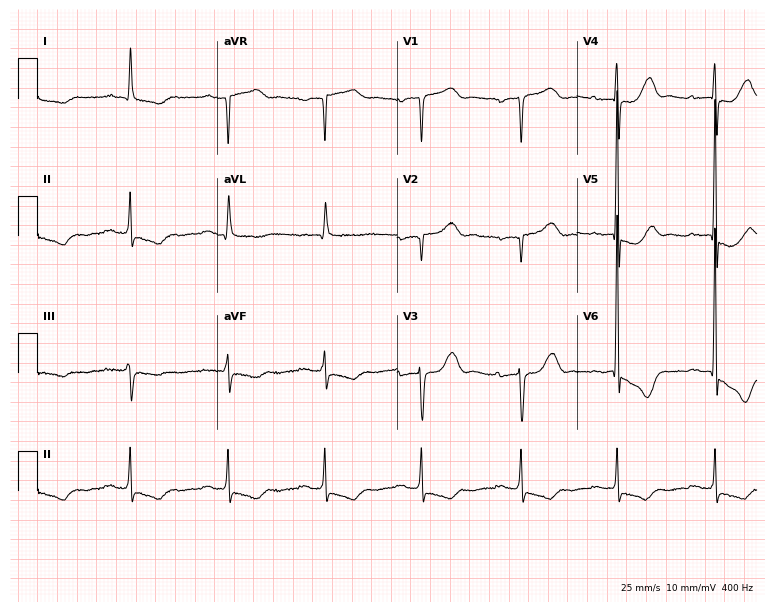
ECG (7.3-second recording at 400 Hz) — a 72-year-old woman. Screened for six findings — first-degree AV block, right bundle branch block, left bundle branch block, sinus bradycardia, atrial fibrillation, sinus tachycardia — none is recorded.